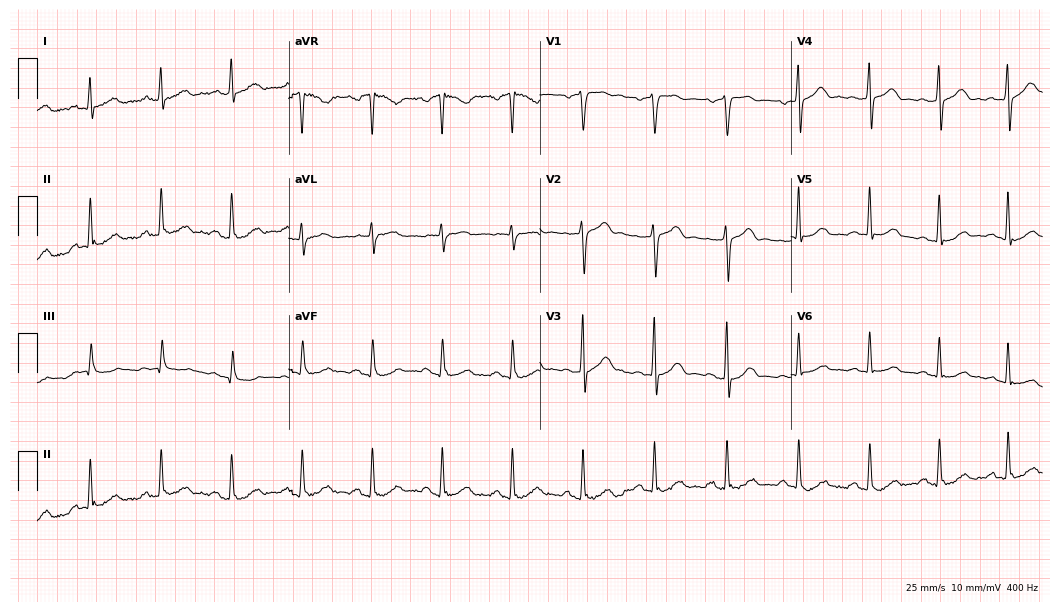
Resting 12-lead electrocardiogram (10.2-second recording at 400 Hz). Patient: a male, 60 years old. Read as a normal ECG.